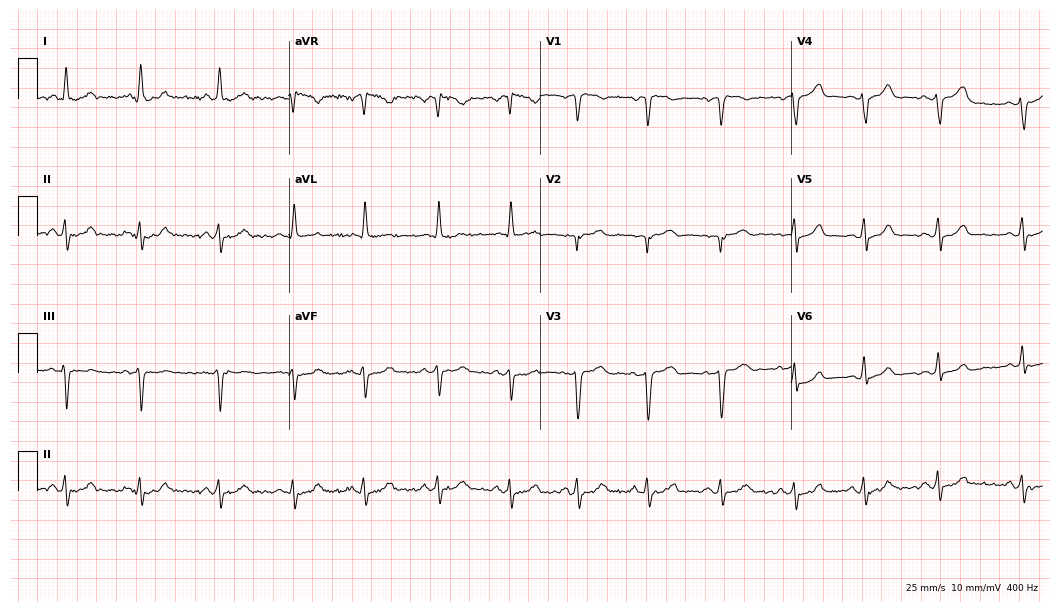
ECG (10.2-second recording at 400 Hz) — a female, 39 years old. Screened for six findings — first-degree AV block, right bundle branch block (RBBB), left bundle branch block (LBBB), sinus bradycardia, atrial fibrillation (AF), sinus tachycardia — none is recorded.